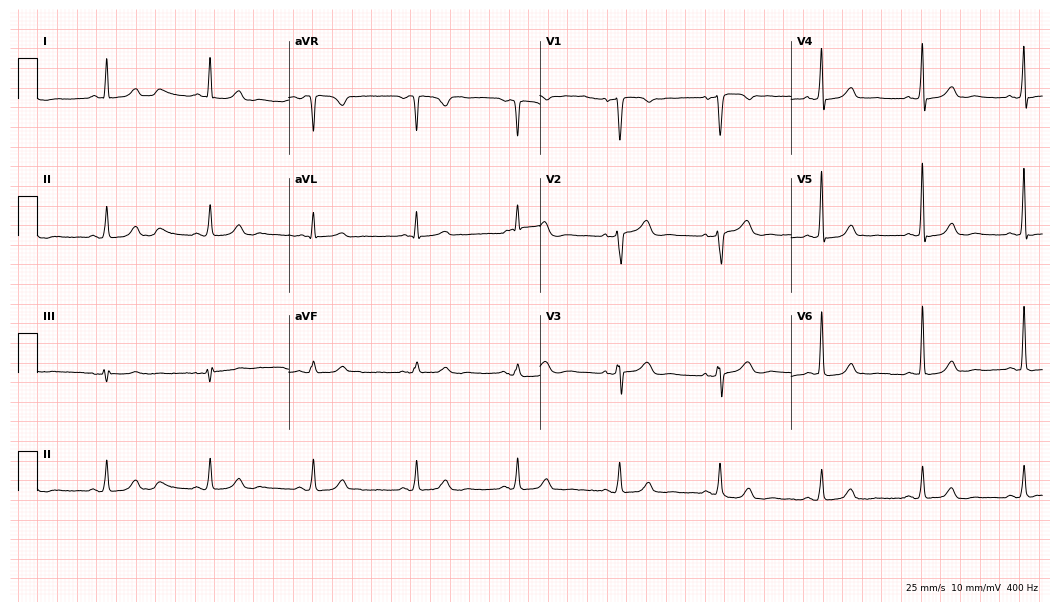
ECG (10.2-second recording at 400 Hz) — a woman, 61 years old. Labelled as a normal ECG.